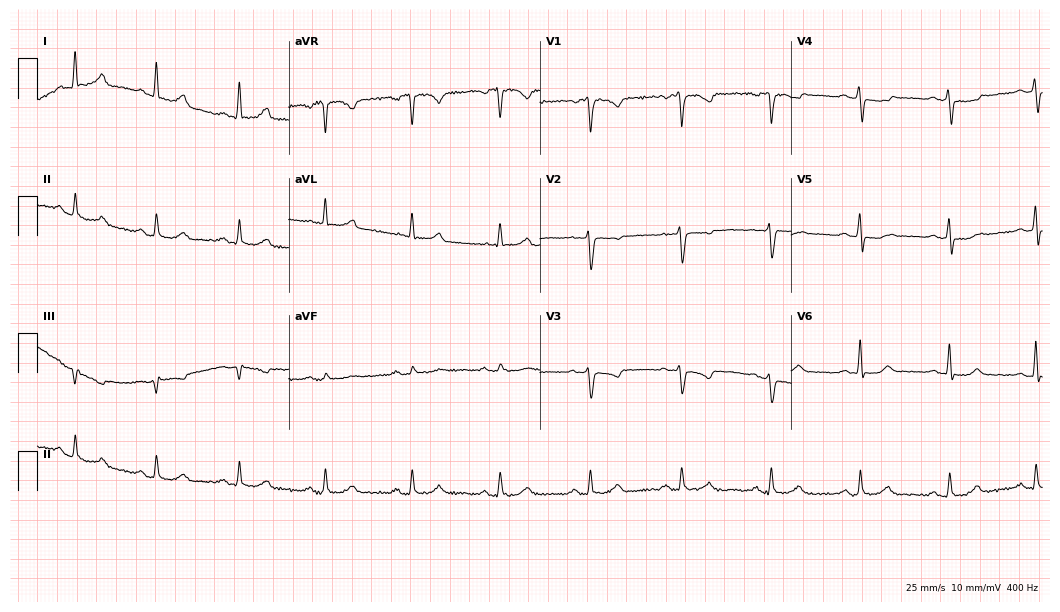
12-lead ECG (10.2-second recording at 400 Hz) from a woman, 57 years old. Screened for six findings — first-degree AV block, right bundle branch block, left bundle branch block, sinus bradycardia, atrial fibrillation, sinus tachycardia — none is recorded. Other findings, if any, are not listed.